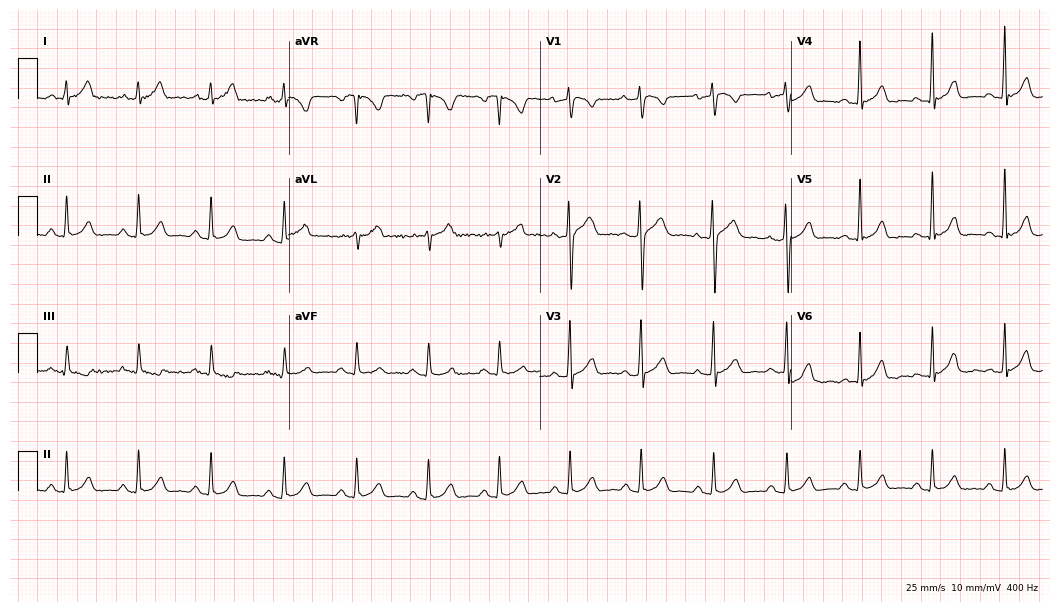
Standard 12-lead ECG recorded from a man, 45 years old. None of these six findings is recorded: first-degree AV block, right bundle branch block, left bundle branch block, sinus bradycardia, atrial fibrillation, sinus tachycardia.